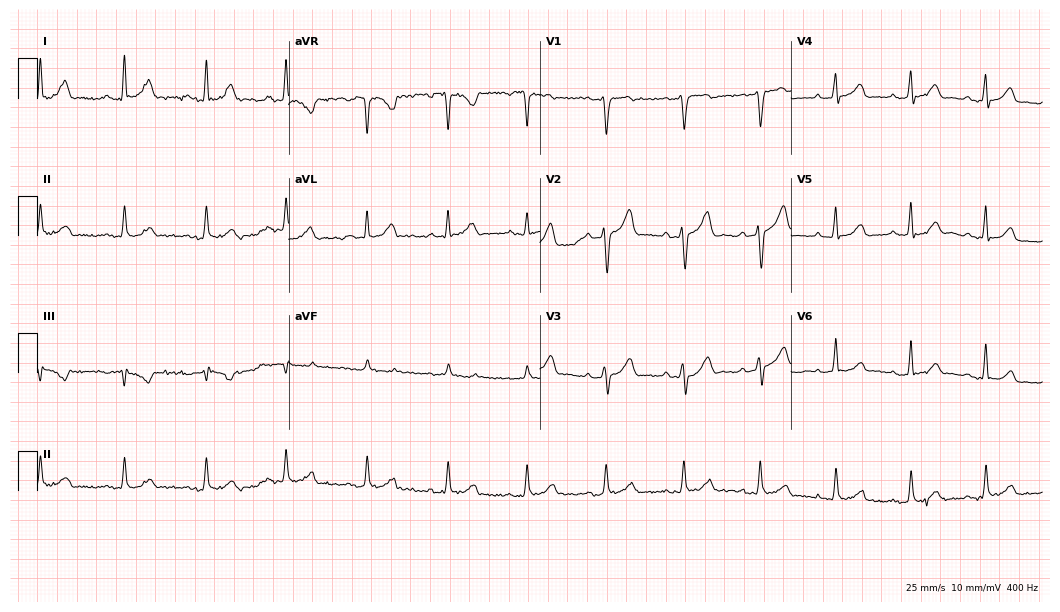
Standard 12-lead ECG recorded from a male, 39 years old. Read as a normal ECG.